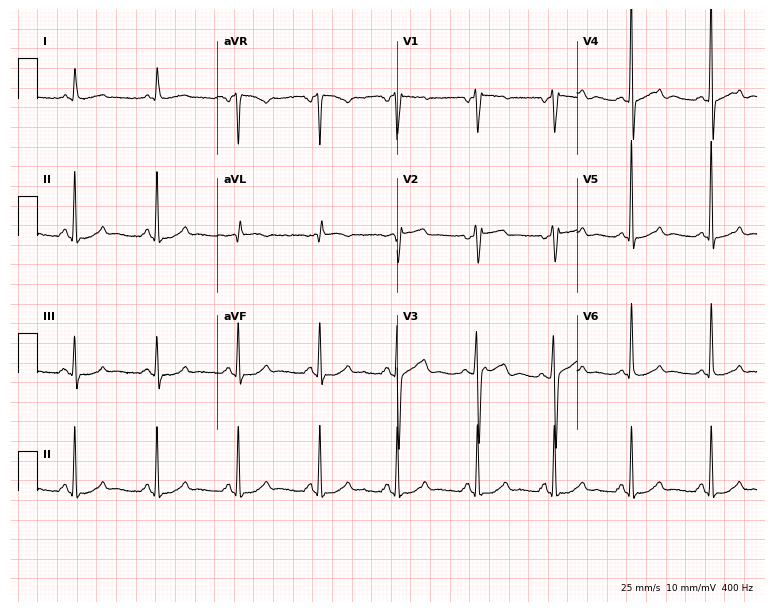
Resting 12-lead electrocardiogram (7.3-second recording at 400 Hz). Patient: an 80-year-old female. Read as a normal ECG.